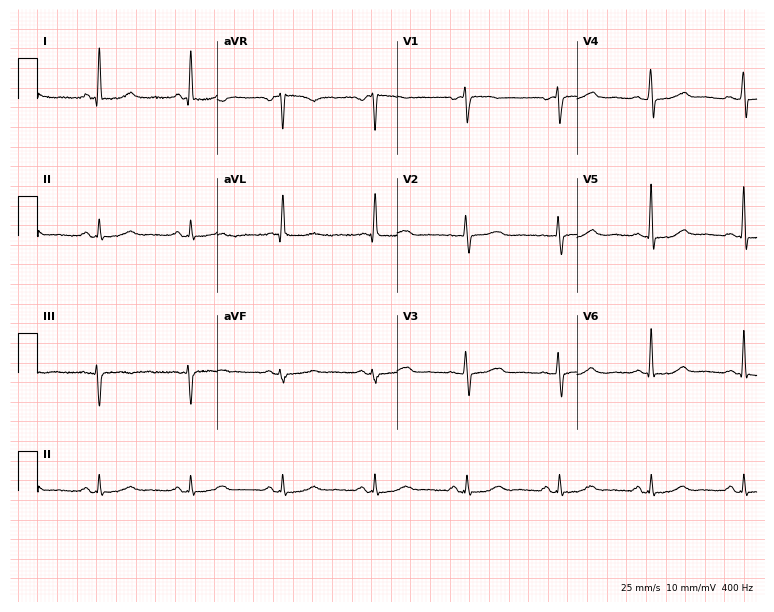
12-lead ECG (7.3-second recording at 400 Hz) from a female patient, 57 years old. Labelled as a normal ECG.